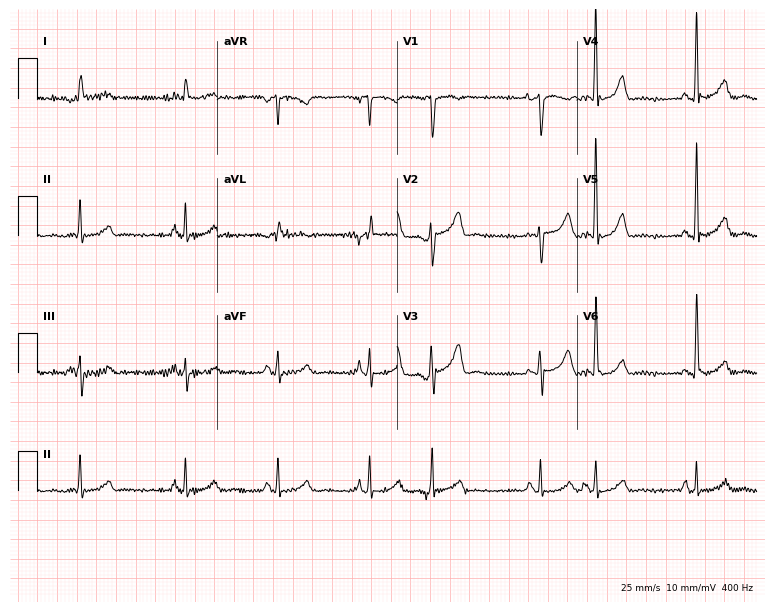
12-lead ECG (7.3-second recording at 400 Hz) from an 85-year-old male. Screened for six findings — first-degree AV block, right bundle branch block, left bundle branch block, sinus bradycardia, atrial fibrillation, sinus tachycardia — none is recorded.